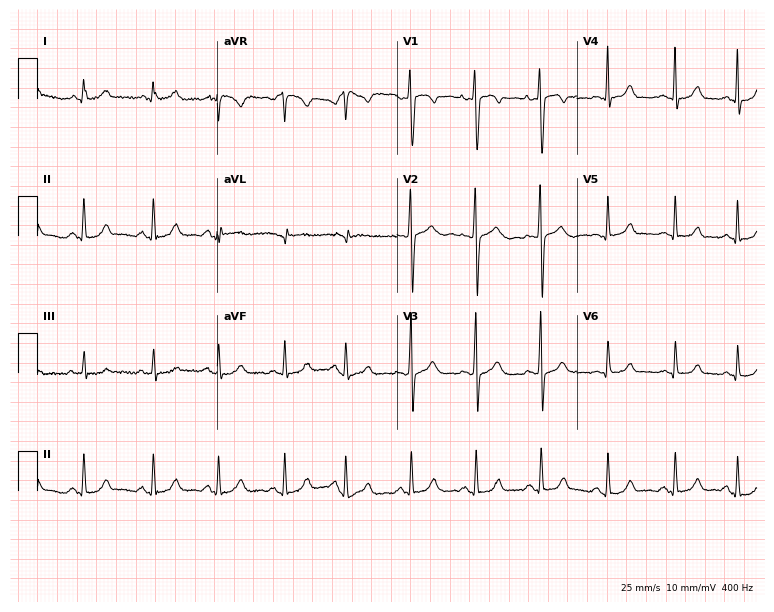
Electrocardiogram, a 19-year-old female. Of the six screened findings (first-degree AV block, right bundle branch block (RBBB), left bundle branch block (LBBB), sinus bradycardia, atrial fibrillation (AF), sinus tachycardia), none is recorded.